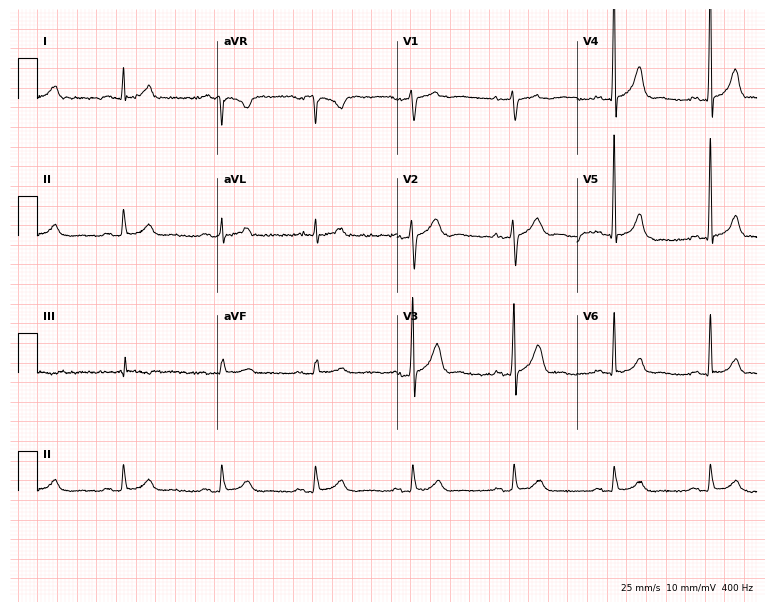
12-lead ECG (7.3-second recording at 400 Hz) from a male patient, 37 years old. Labelled as a normal ECG.